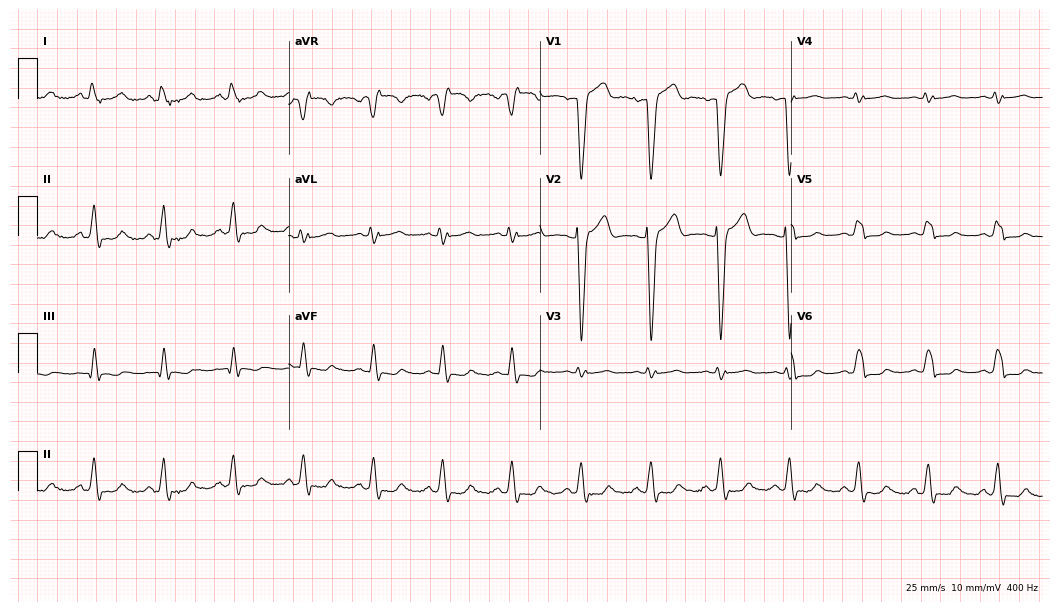
Standard 12-lead ECG recorded from a 63-year-old woman (10.2-second recording at 400 Hz). The tracing shows left bundle branch block.